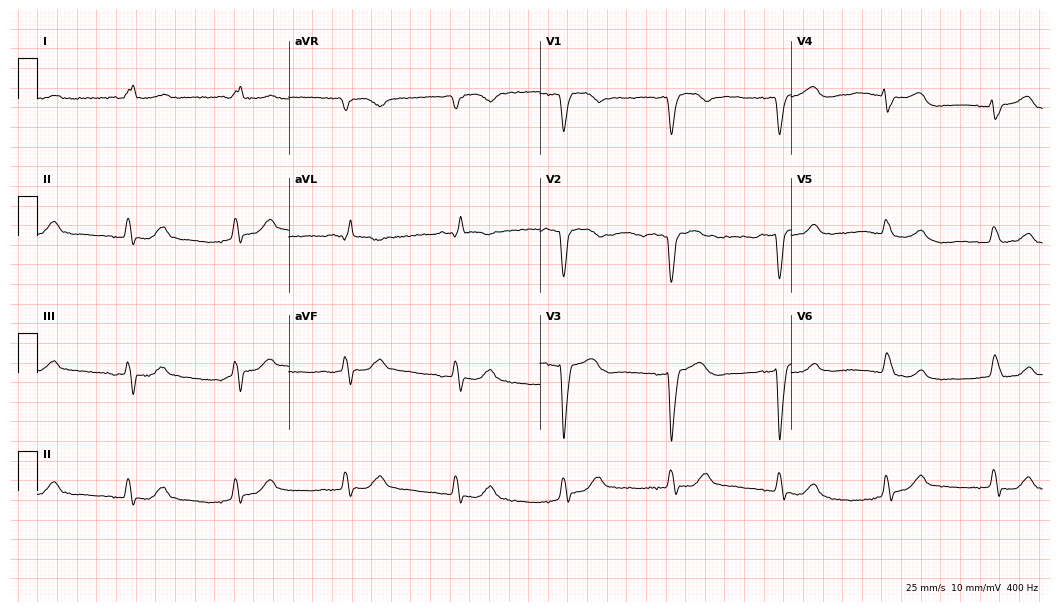
Electrocardiogram, a woman, 85 years old. Of the six screened findings (first-degree AV block, right bundle branch block, left bundle branch block, sinus bradycardia, atrial fibrillation, sinus tachycardia), none is recorded.